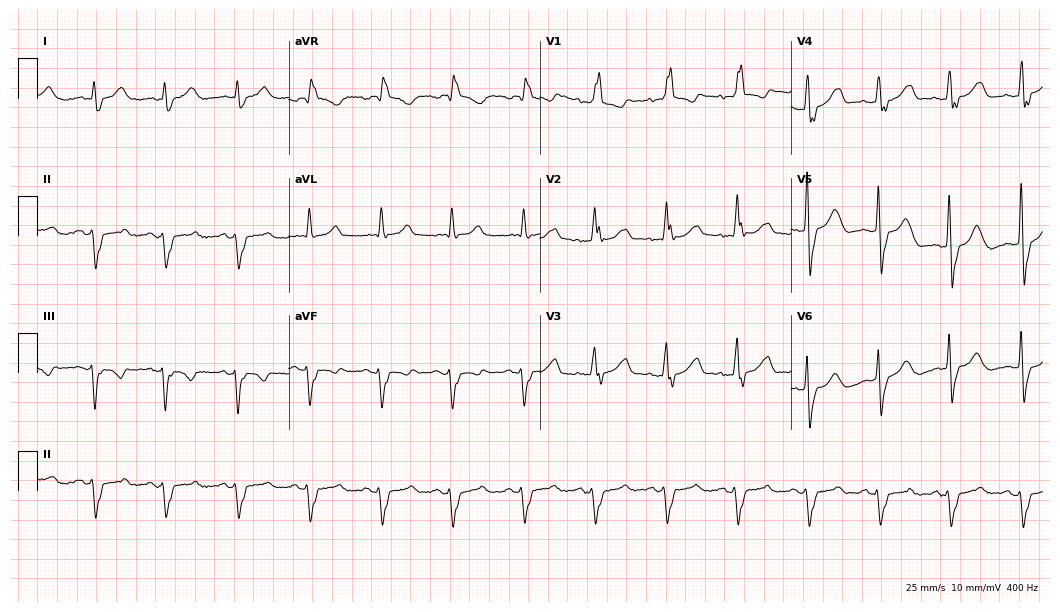
Electrocardiogram (10.2-second recording at 400 Hz), an 81-year-old man. Interpretation includes right bundle branch block.